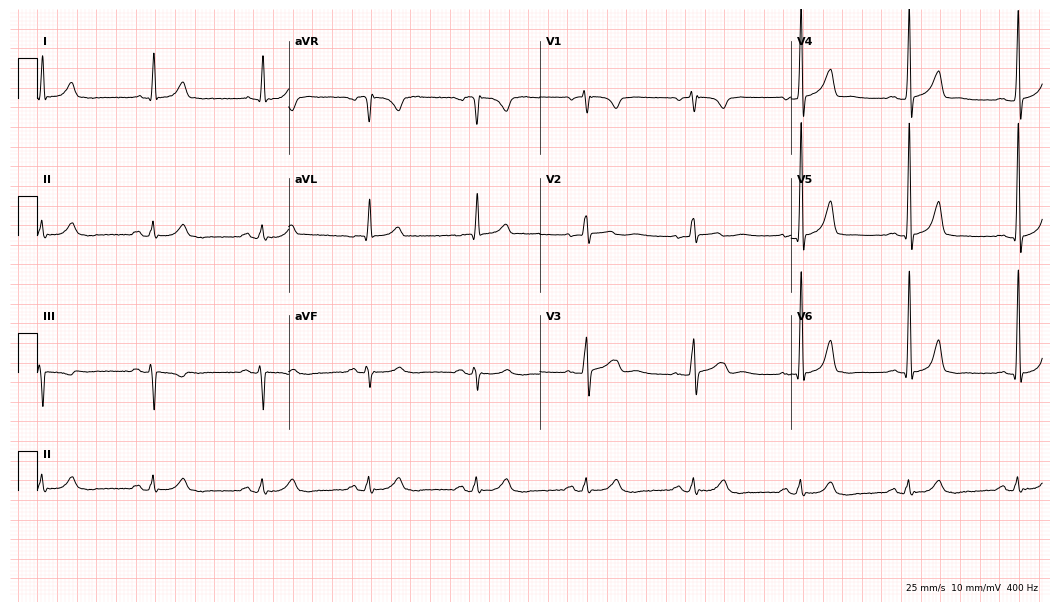
Resting 12-lead electrocardiogram. Patient: a man, 70 years old. Read as a normal ECG.